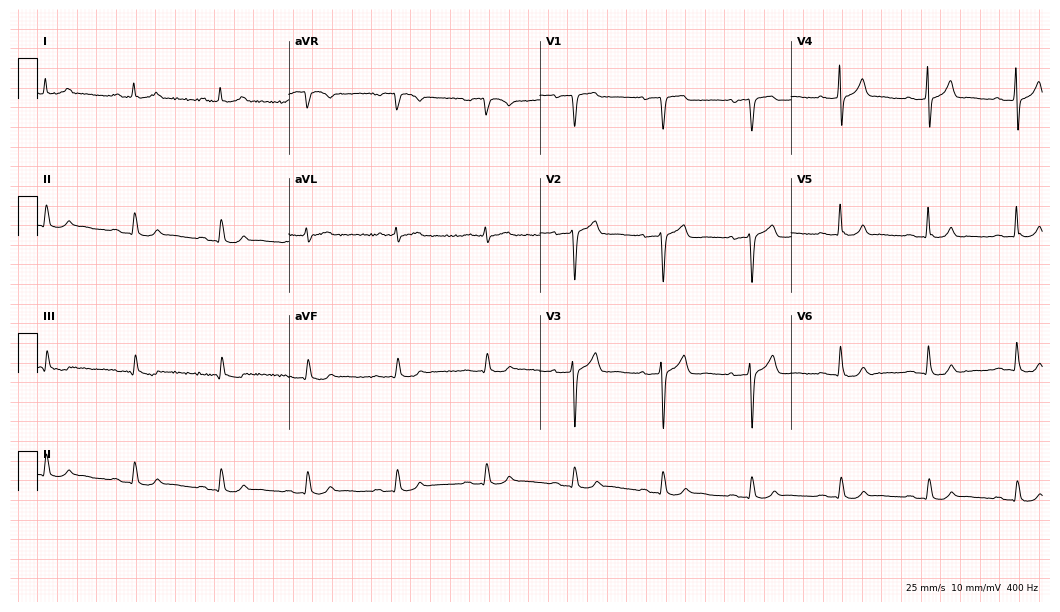
Electrocardiogram (10.2-second recording at 400 Hz), a 67-year-old male. Of the six screened findings (first-degree AV block, right bundle branch block (RBBB), left bundle branch block (LBBB), sinus bradycardia, atrial fibrillation (AF), sinus tachycardia), none is recorded.